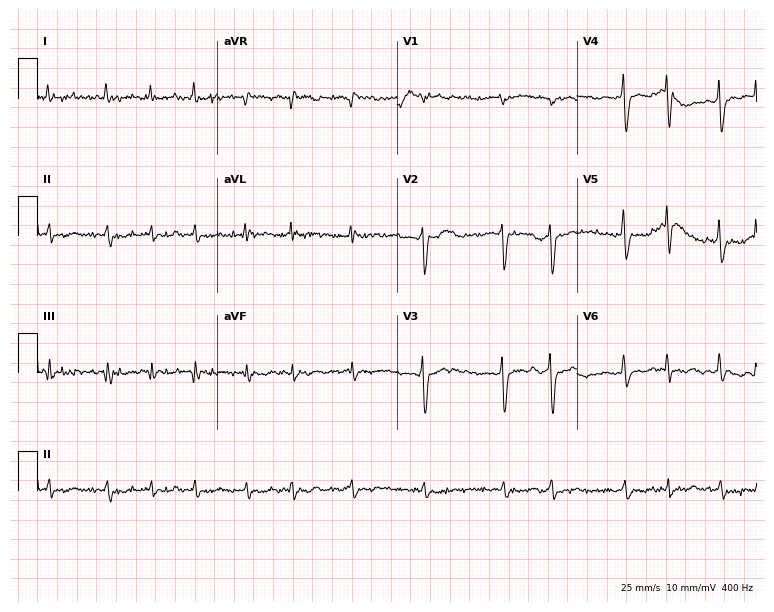
Standard 12-lead ECG recorded from a man, 87 years old (7.3-second recording at 400 Hz). The tracing shows atrial fibrillation.